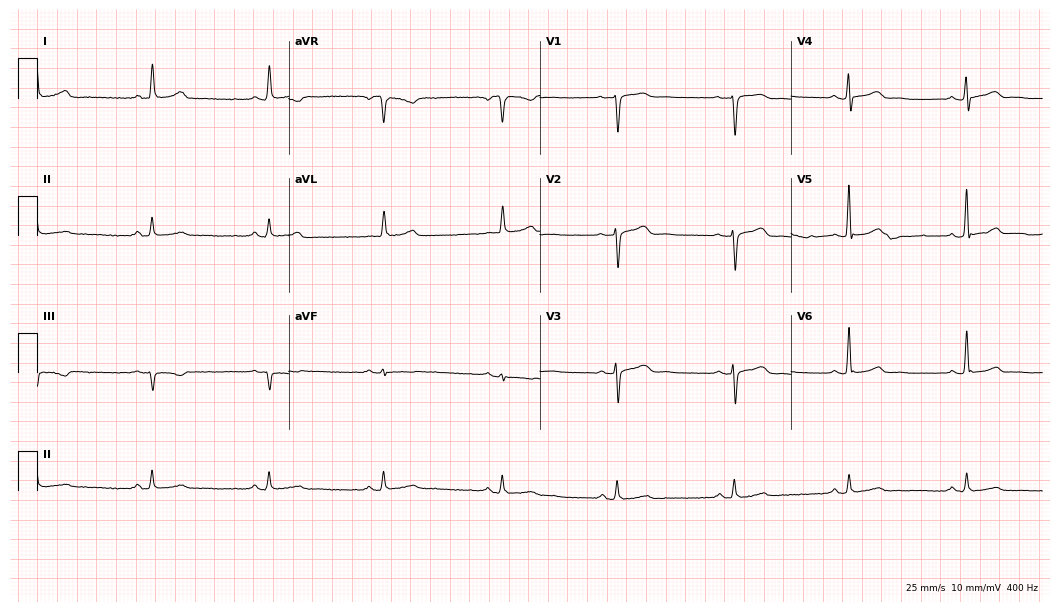
12-lead ECG from a female patient, 82 years old. Recorded interpretation: within normal limits.